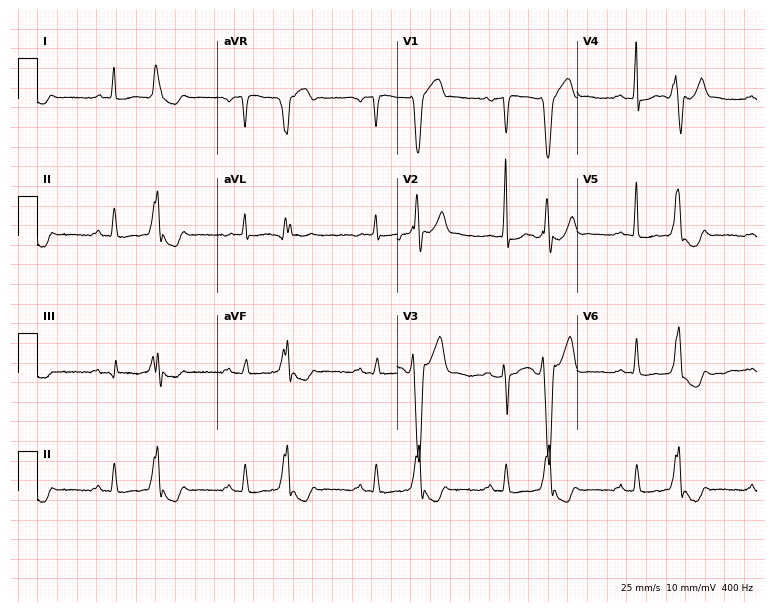
Standard 12-lead ECG recorded from a woman, 76 years old. None of these six findings is recorded: first-degree AV block, right bundle branch block (RBBB), left bundle branch block (LBBB), sinus bradycardia, atrial fibrillation (AF), sinus tachycardia.